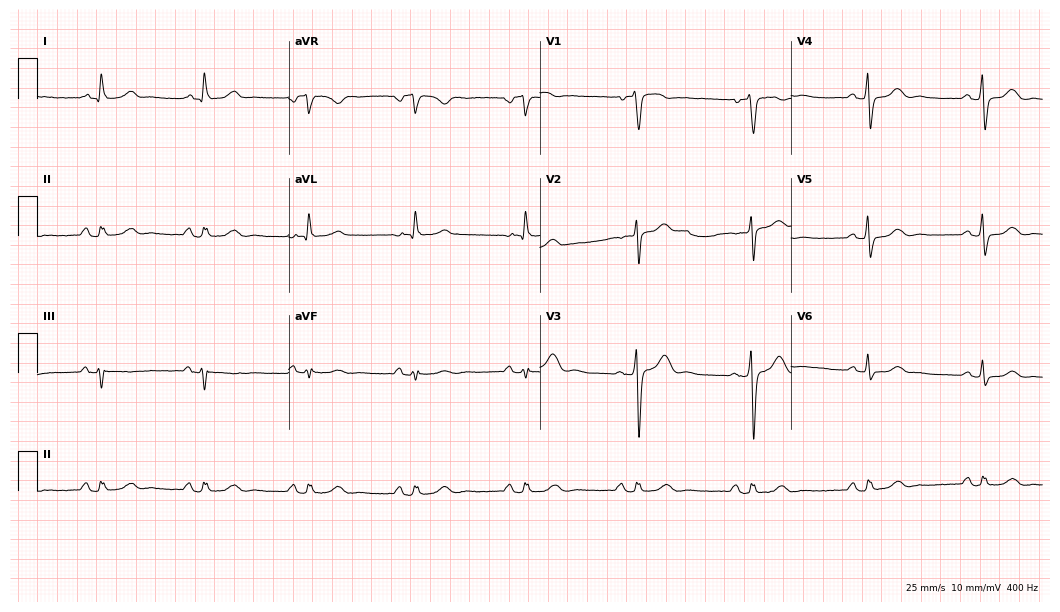
Electrocardiogram (10.2-second recording at 400 Hz), a 53-year-old male patient. Of the six screened findings (first-degree AV block, right bundle branch block, left bundle branch block, sinus bradycardia, atrial fibrillation, sinus tachycardia), none is recorded.